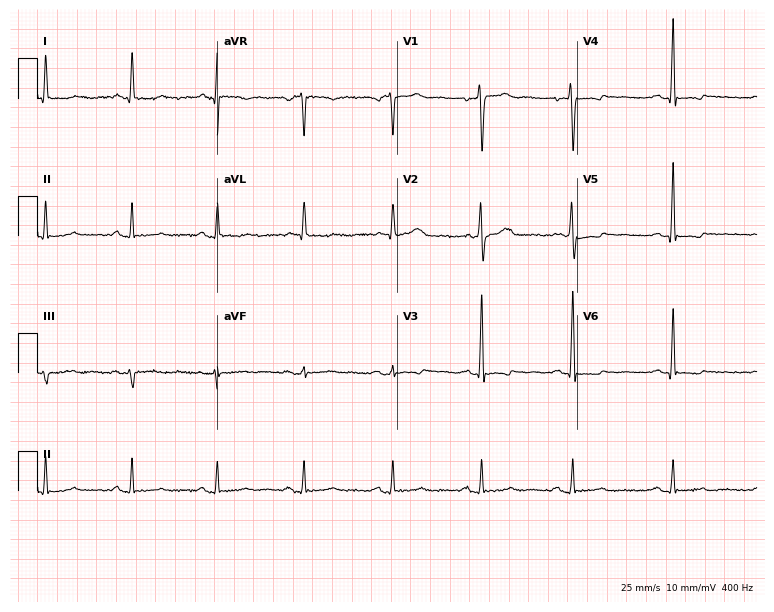
Resting 12-lead electrocardiogram (7.3-second recording at 400 Hz). Patient: a man, 34 years old. None of these six findings is recorded: first-degree AV block, right bundle branch block, left bundle branch block, sinus bradycardia, atrial fibrillation, sinus tachycardia.